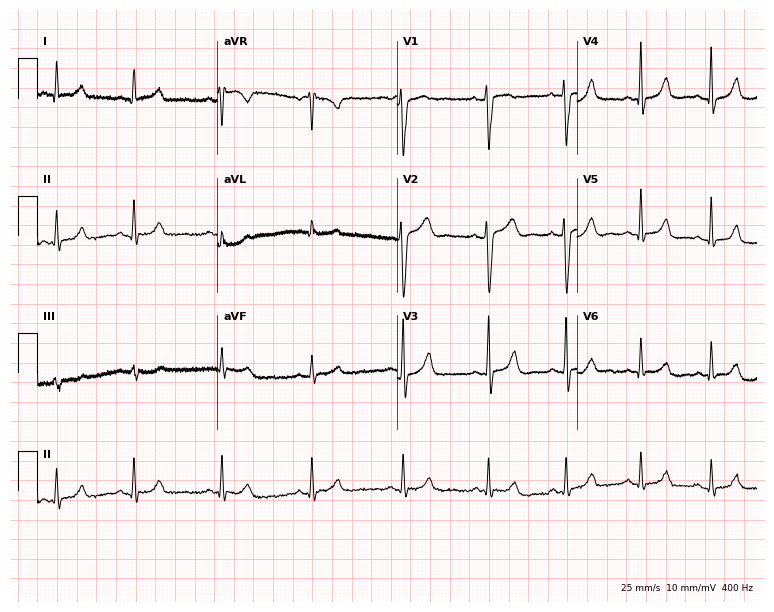
12-lead ECG from a 29-year-old female. Screened for six findings — first-degree AV block, right bundle branch block, left bundle branch block, sinus bradycardia, atrial fibrillation, sinus tachycardia — none is recorded. Other findings, if any, are not listed.